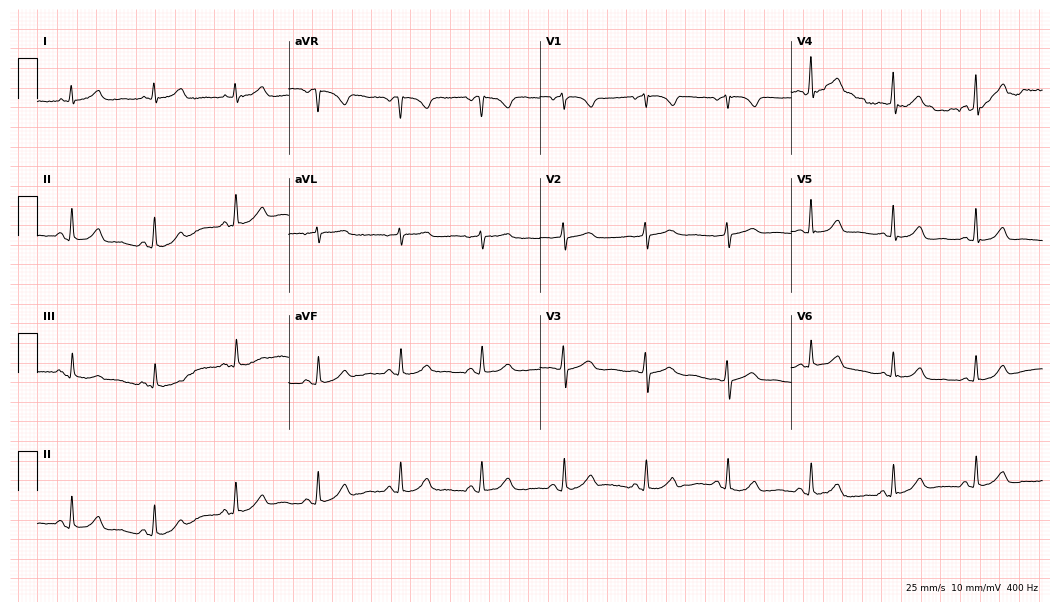
12-lead ECG from a female patient, 56 years old (10.2-second recording at 400 Hz). Recorded interpretation: within normal limits.